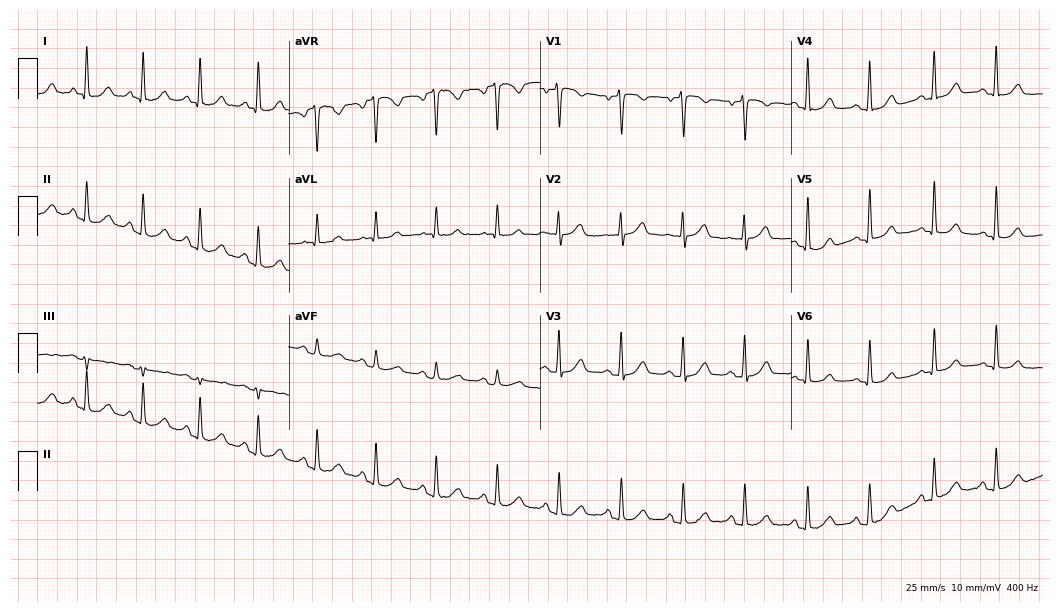
Standard 12-lead ECG recorded from a 55-year-old woman (10.2-second recording at 400 Hz). None of these six findings is recorded: first-degree AV block, right bundle branch block (RBBB), left bundle branch block (LBBB), sinus bradycardia, atrial fibrillation (AF), sinus tachycardia.